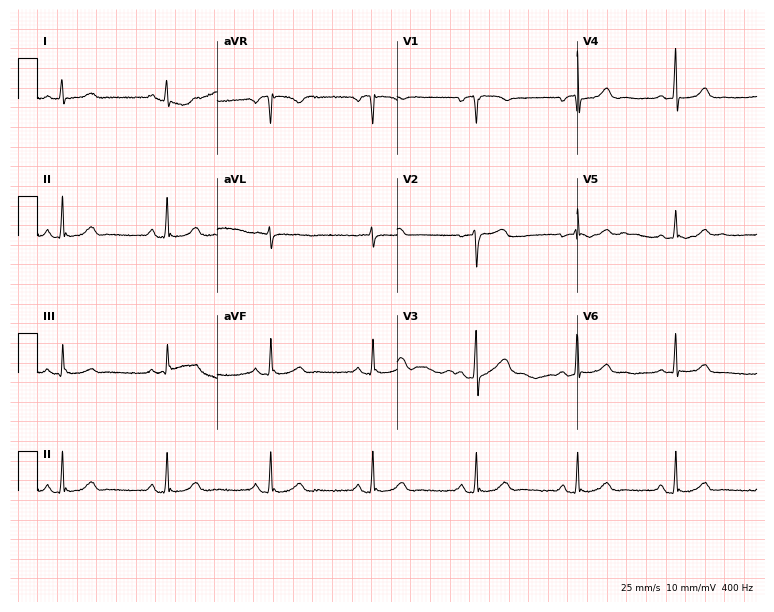
ECG — a 65-year-old female. Labelled as a normal ECG.